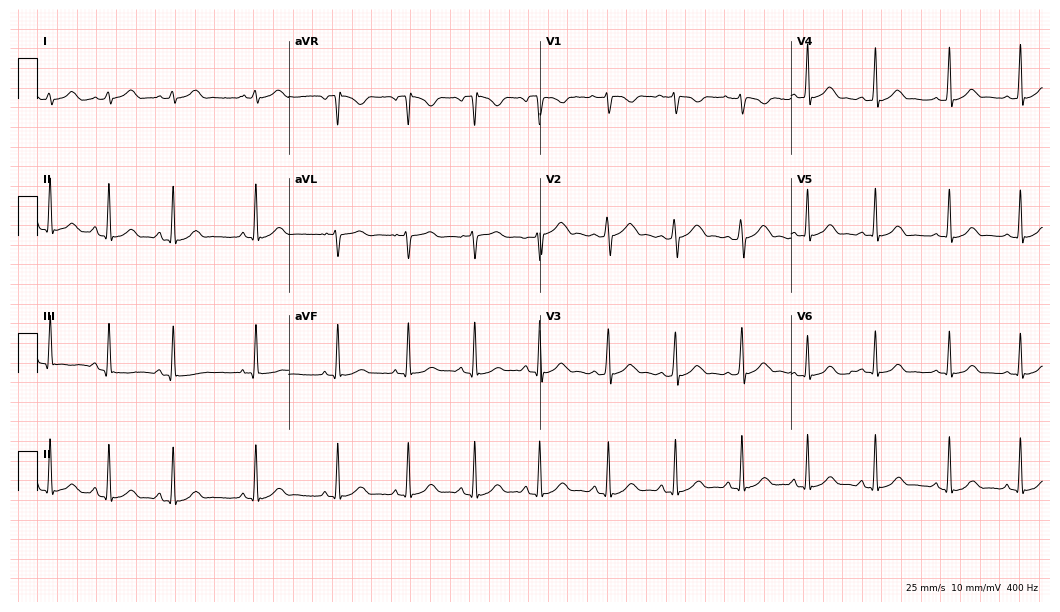
ECG (10.2-second recording at 400 Hz) — a 26-year-old woman. Labelled as a normal ECG.